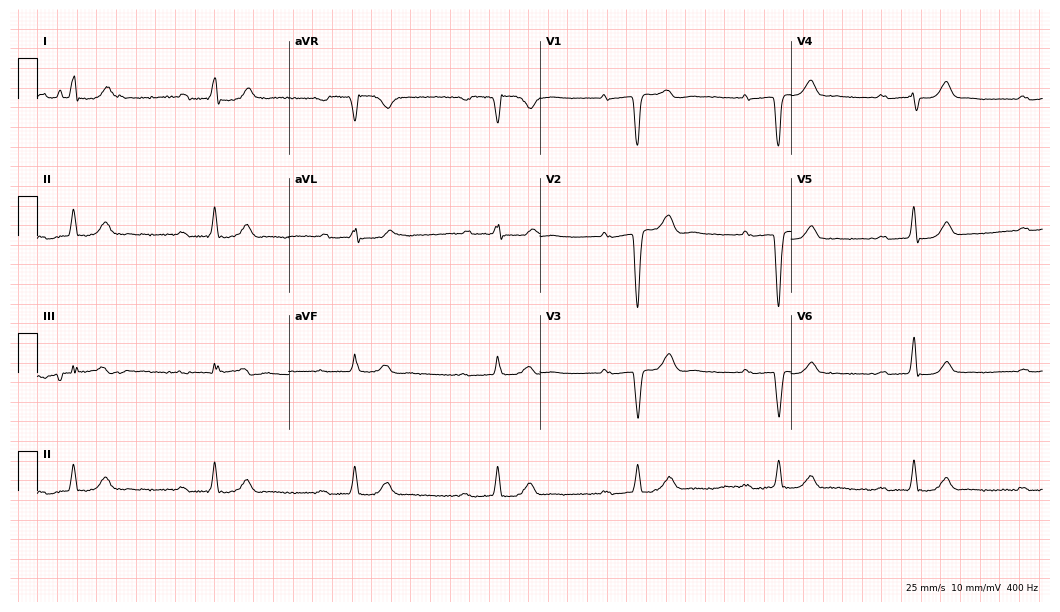
12-lead ECG (10.2-second recording at 400 Hz) from a 73-year-old male patient. Findings include first-degree AV block, sinus bradycardia (a sinus rate of 50 beats per minute or less).